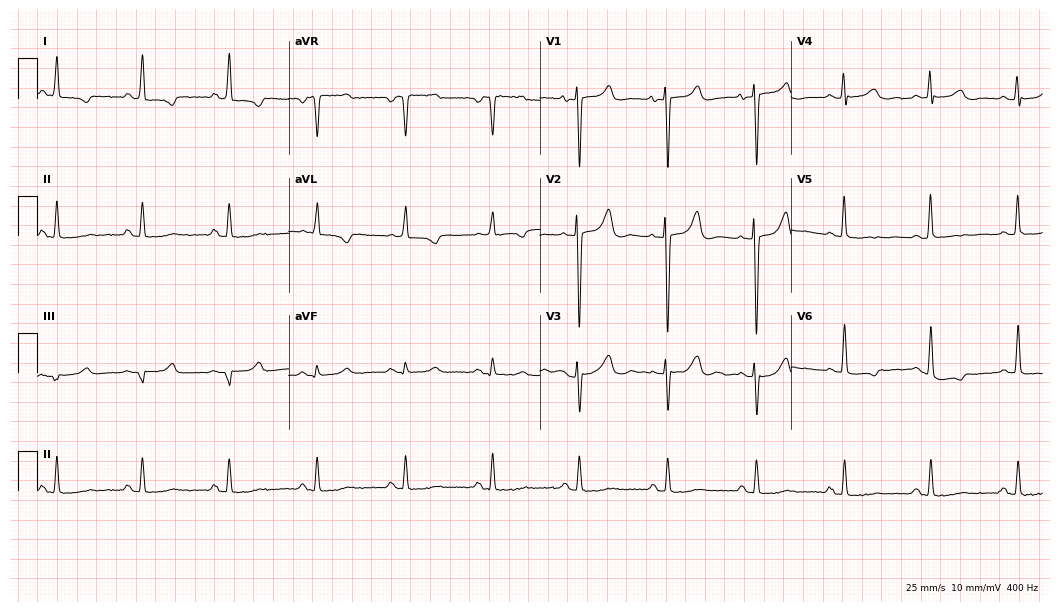
Electrocardiogram, a female, 65 years old. Of the six screened findings (first-degree AV block, right bundle branch block, left bundle branch block, sinus bradycardia, atrial fibrillation, sinus tachycardia), none is recorded. Only these six findings were labelled.